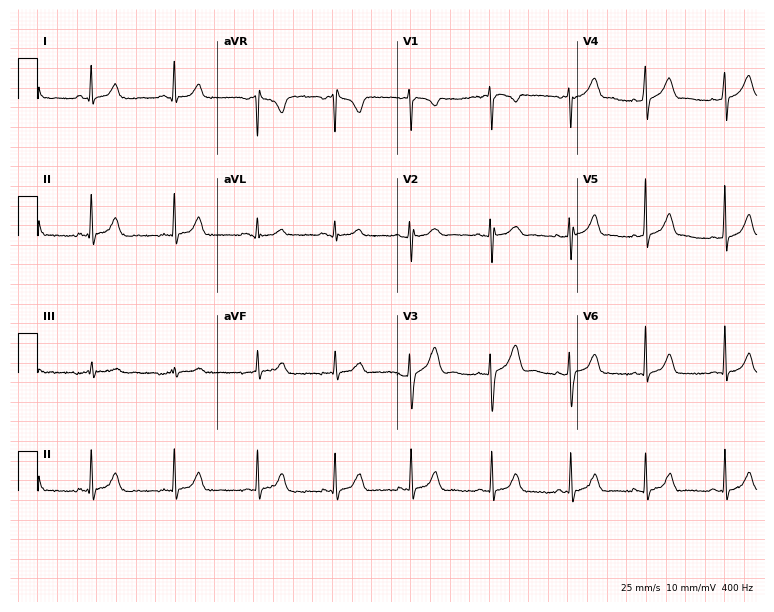
ECG — a female, 21 years old. Screened for six findings — first-degree AV block, right bundle branch block, left bundle branch block, sinus bradycardia, atrial fibrillation, sinus tachycardia — none is recorded. Other findings, if any, are not listed.